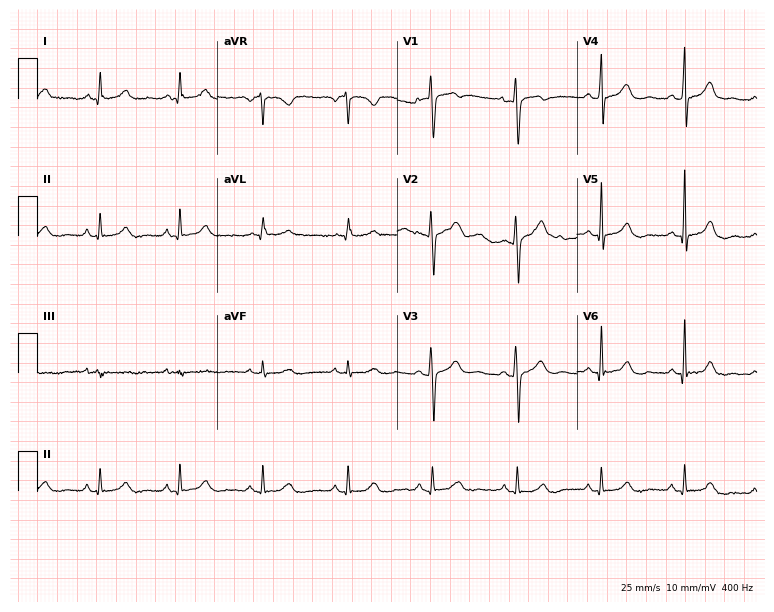
Standard 12-lead ECG recorded from a female, 56 years old. None of these six findings is recorded: first-degree AV block, right bundle branch block, left bundle branch block, sinus bradycardia, atrial fibrillation, sinus tachycardia. Other findings, if any, are not listed.